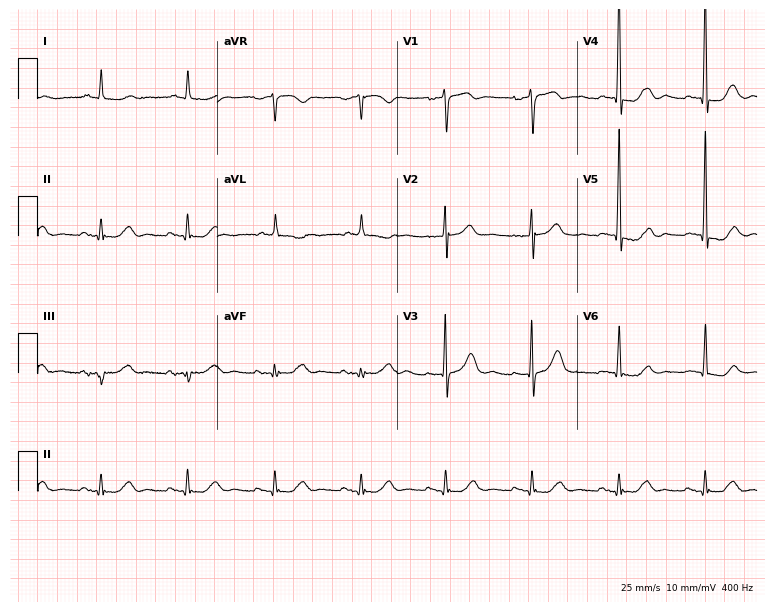
ECG (7.3-second recording at 400 Hz) — a male patient, 83 years old. Screened for six findings — first-degree AV block, right bundle branch block (RBBB), left bundle branch block (LBBB), sinus bradycardia, atrial fibrillation (AF), sinus tachycardia — none is recorded.